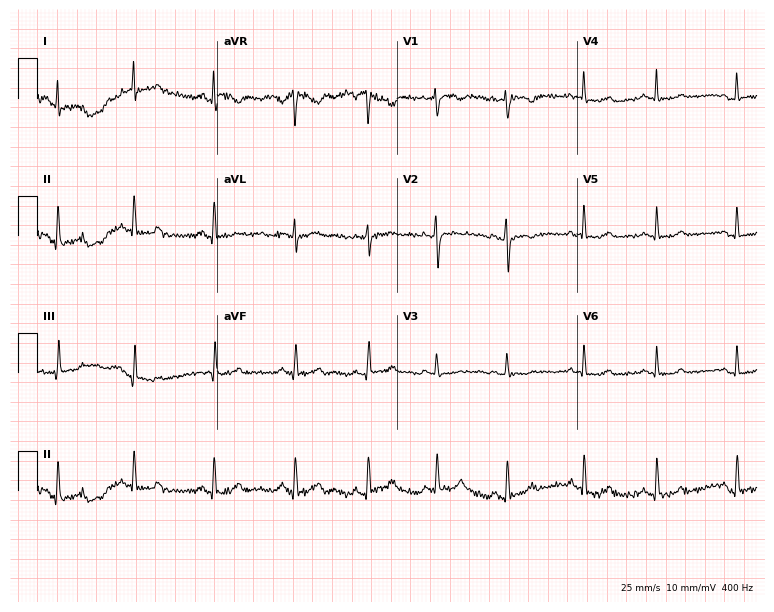
ECG — a female, 25 years old. Labelled as a normal ECG.